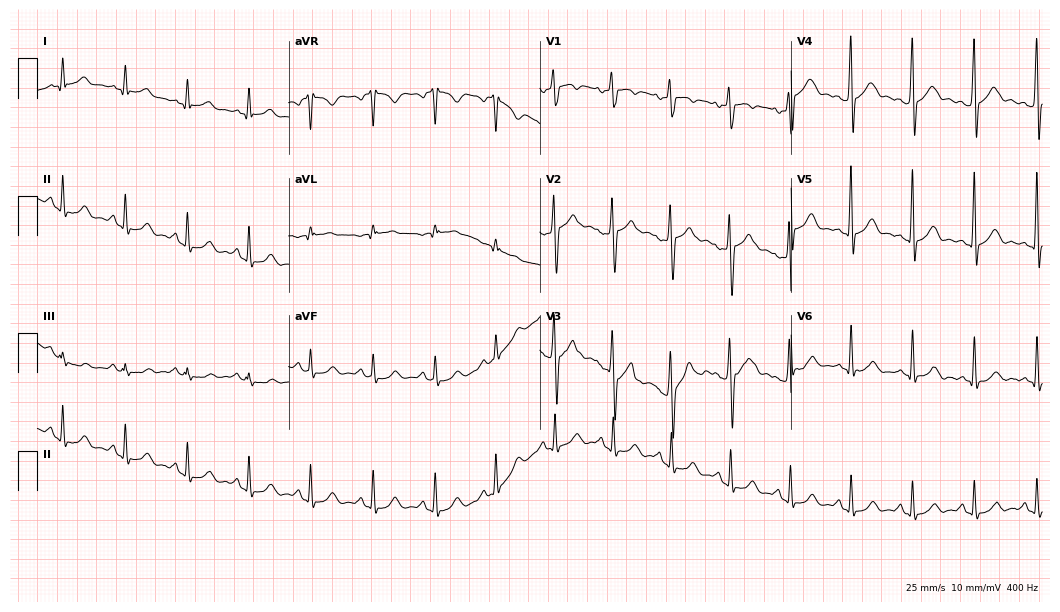
ECG — a man, 26 years old. Labelled as a normal ECG.